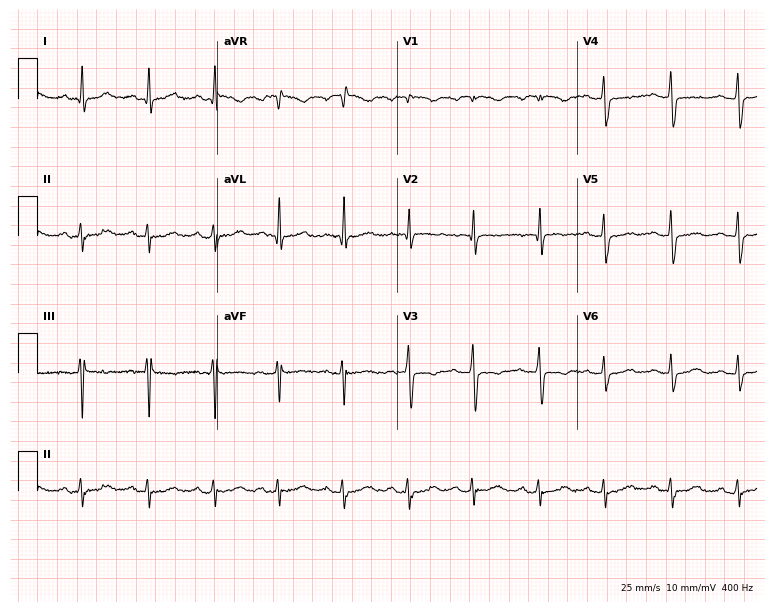
12-lead ECG from a woman, 66 years old (7.3-second recording at 400 Hz). No first-degree AV block, right bundle branch block, left bundle branch block, sinus bradycardia, atrial fibrillation or sinus tachycardia recorded for this tracing.